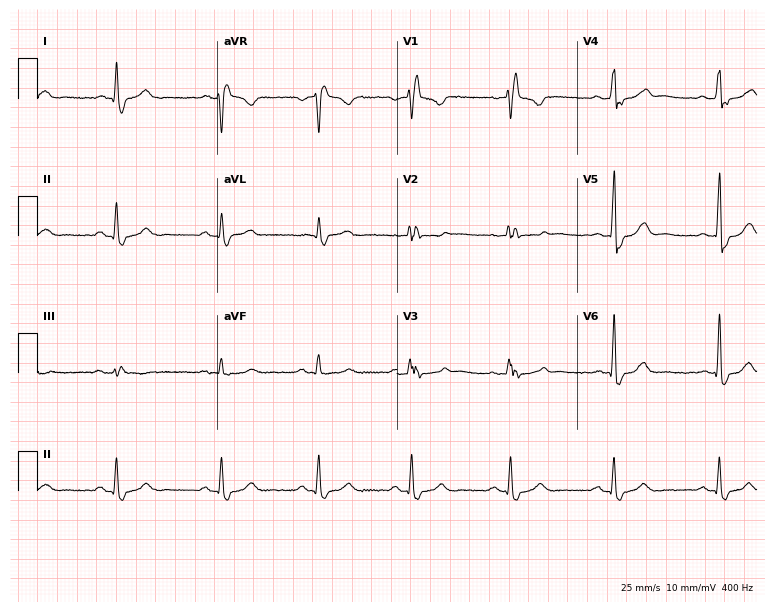
Resting 12-lead electrocardiogram. Patient: a female, 59 years old. The tracing shows right bundle branch block.